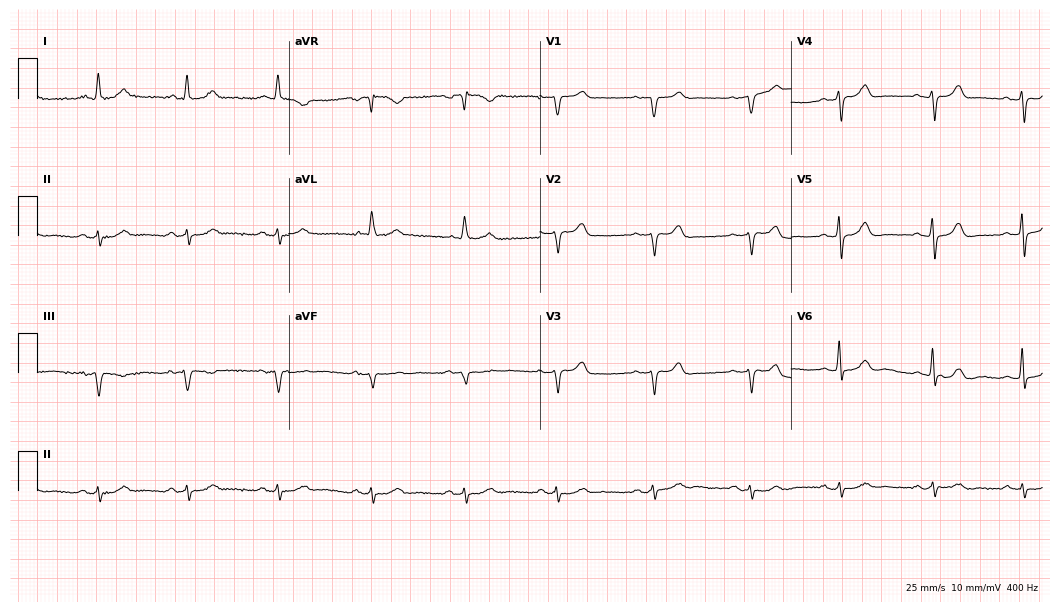
Electrocardiogram (10.2-second recording at 400 Hz), a female patient, 75 years old. Of the six screened findings (first-degree AV block, right bundle branch block, left bundle branch block, sinus bradycardia, atrial fibrillation, sinus tachycardia), none is recorded.